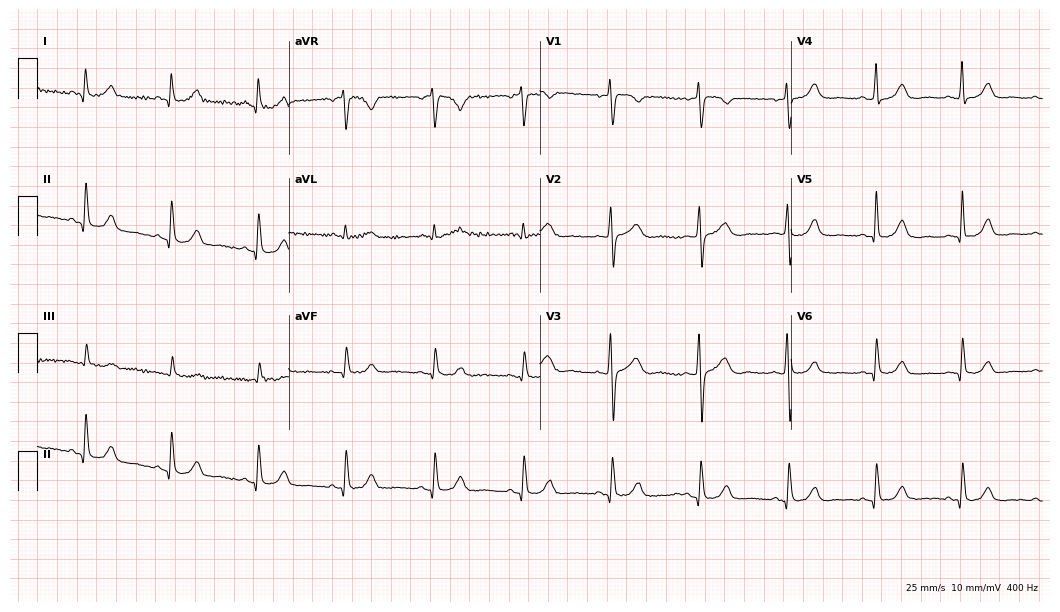
12-lead ECG from a female patient, 66 years old (10.2-second recording at 400 Hz). Recorded interpretation: within normal limits.